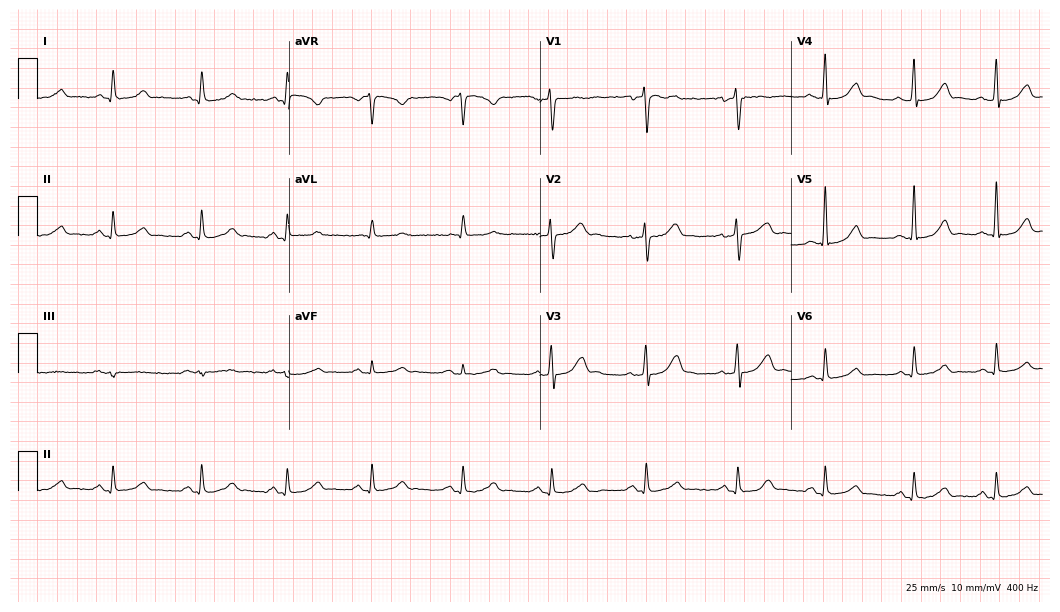
Resting 12-lead electrocardiogram. Patient: a female, 48 years old. Read as a normal ECG.